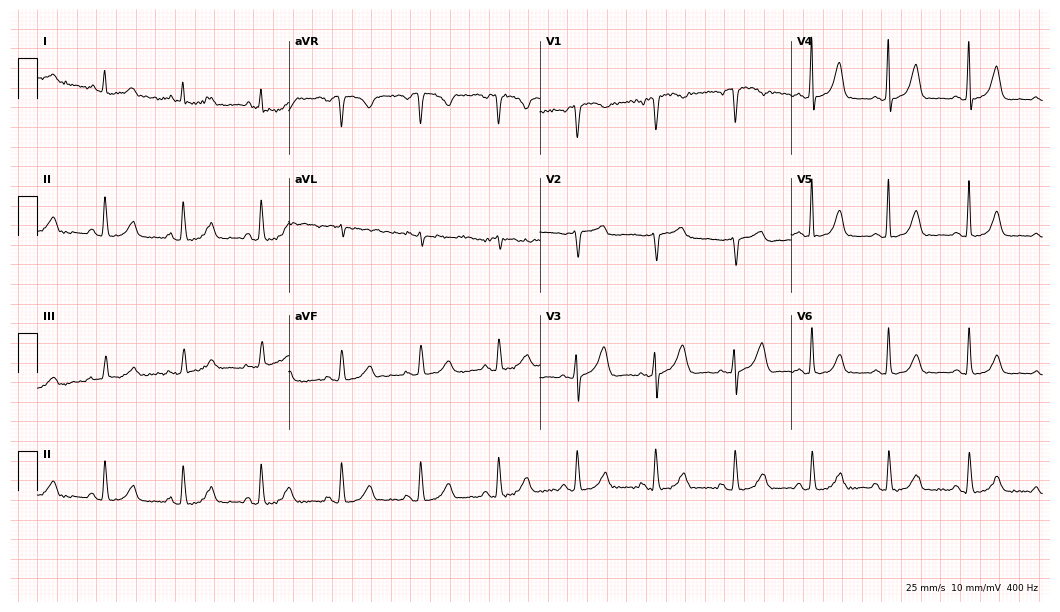
Resting 12-lead electrocardiogram (10.2-second recording at 400 Hz). Patient: a female, 50 years old. Read as a normal ECG.